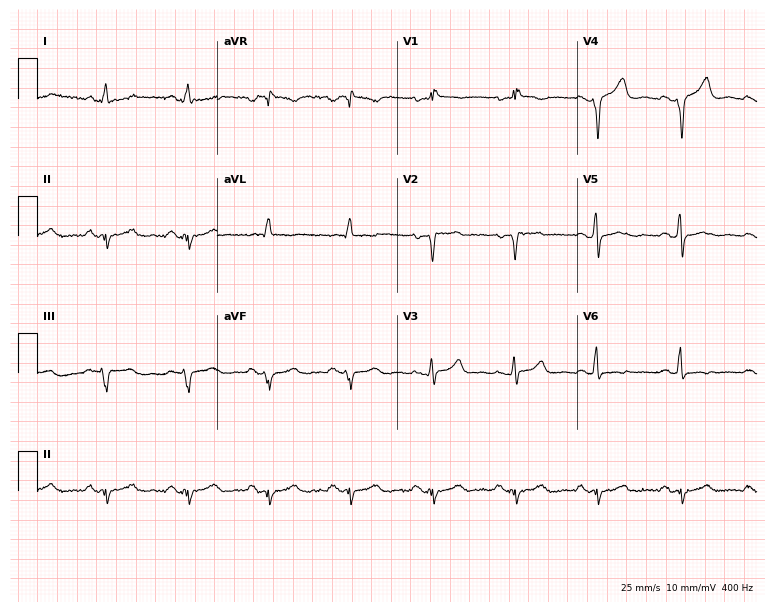
12-lead ECG from a woman, 52 years old. No first-degree AV block, right bundle branch block, left bundle branch block, sinus bradycardia, atrial fibrillation or sinus tachycardia recorded for this tracing. Findings outside these six are not listed.